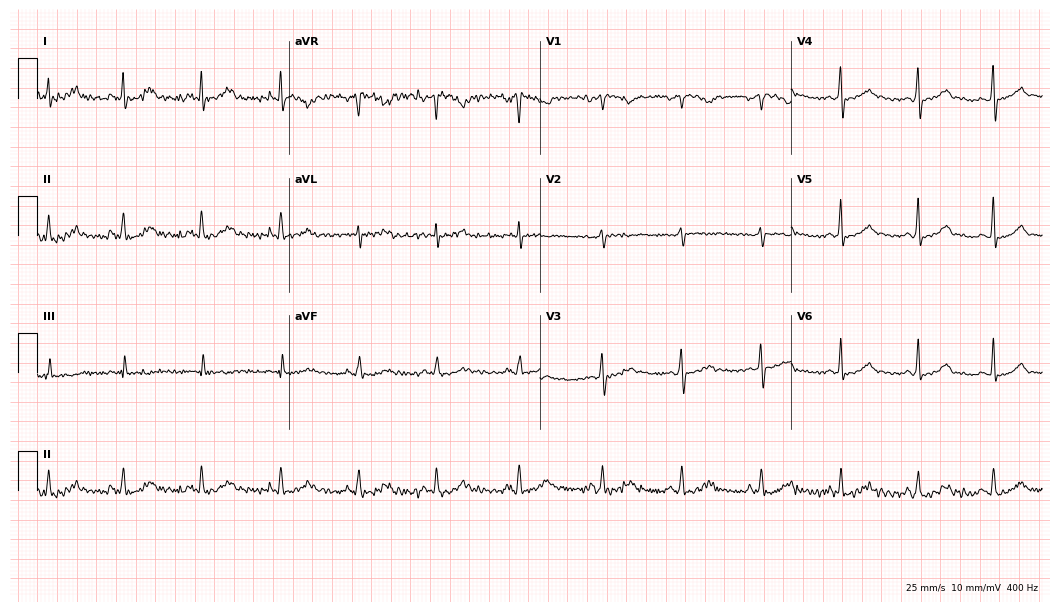
Resting 12-lead electrocardiogram. Patient: a female, 44 years old. Read as a normal ECG.